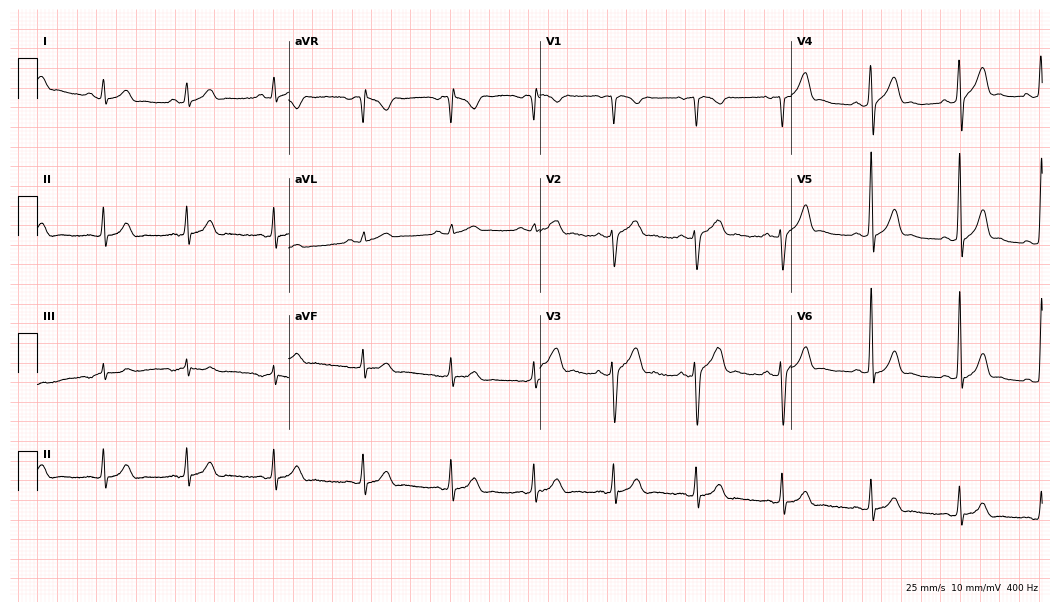
12-lead ECG (10.2-second recording at 400 Hz) from a male, 33 years old. Labelled as a normal ECG.